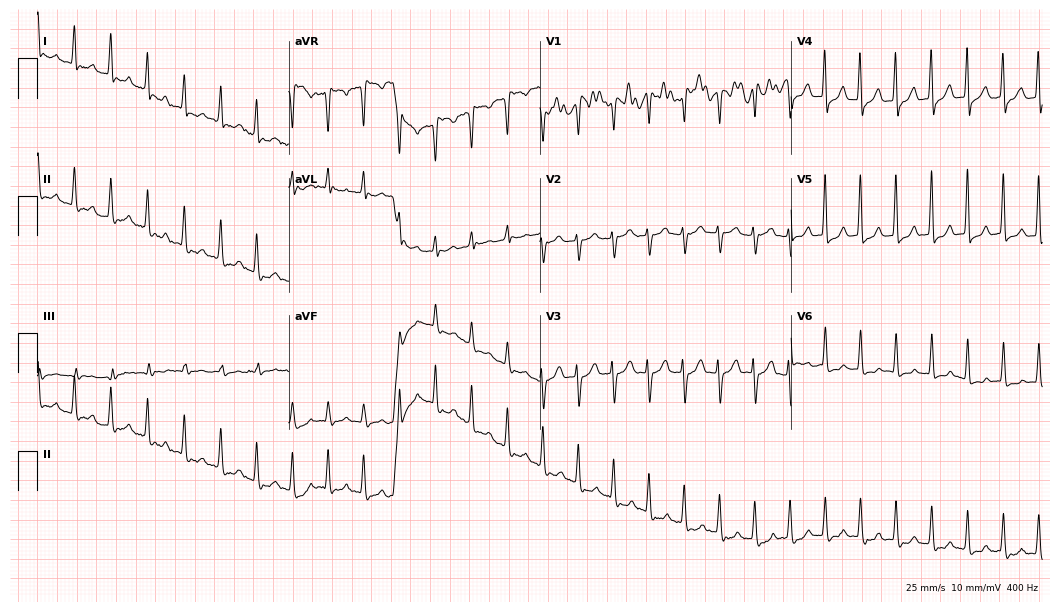
12-lead ECG from a 61-year-old woman. Shows atrial fibrillation.